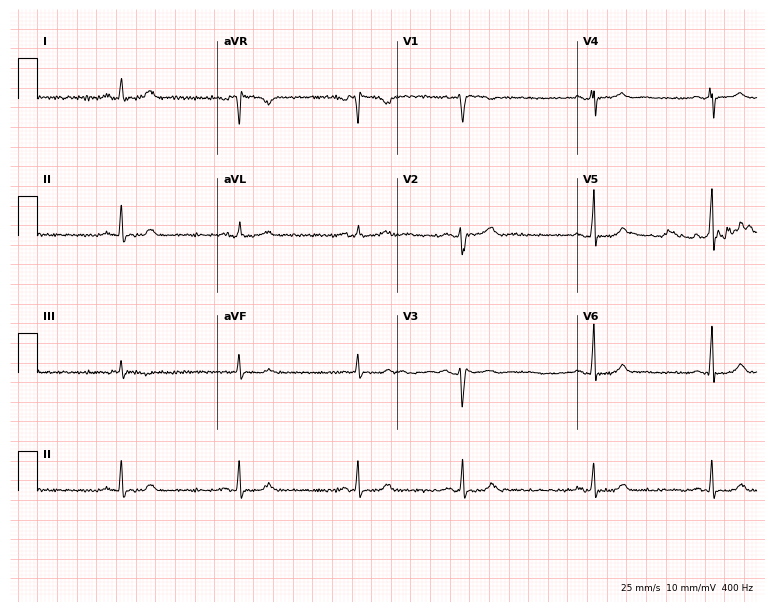
Electrocardiogram, a 38-year-old female patient. Overall reading on record: normal ECG.